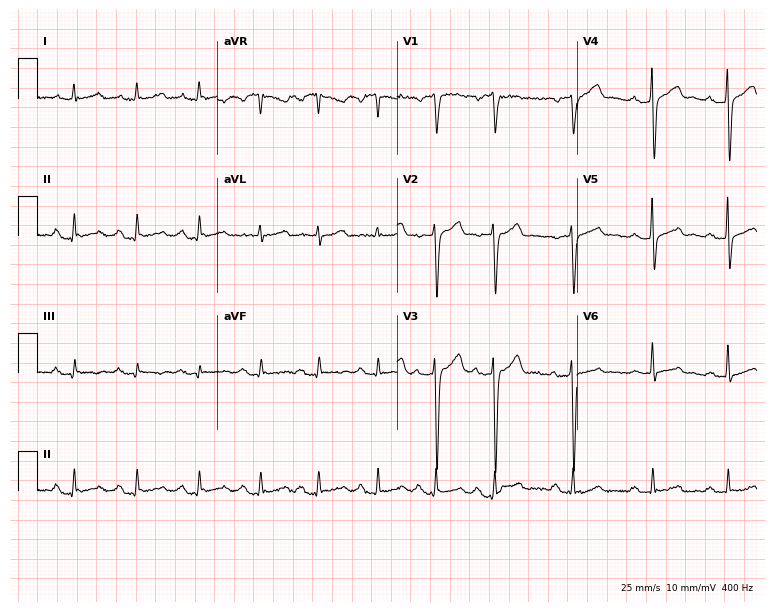
12-lead ECG (7.3-second recording at 400 Hz) from a 49-year-old woman. Labelled as a normal ECG.